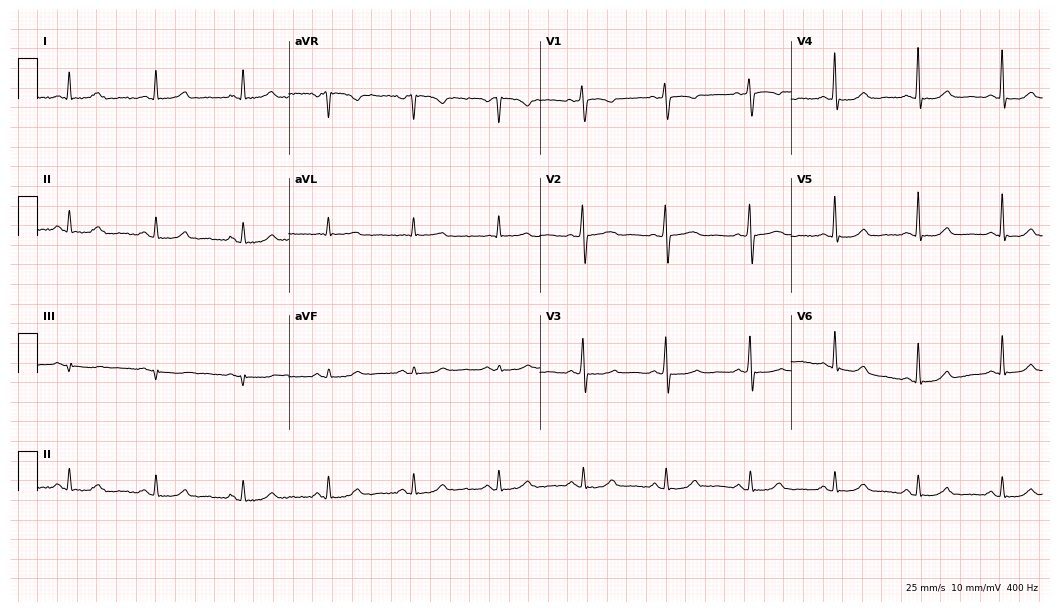
Resting 12-lead electrocardiogram (10.2-second recording at 400 Hz). Patient: a female, 64 years old. Read as a normal ECG.